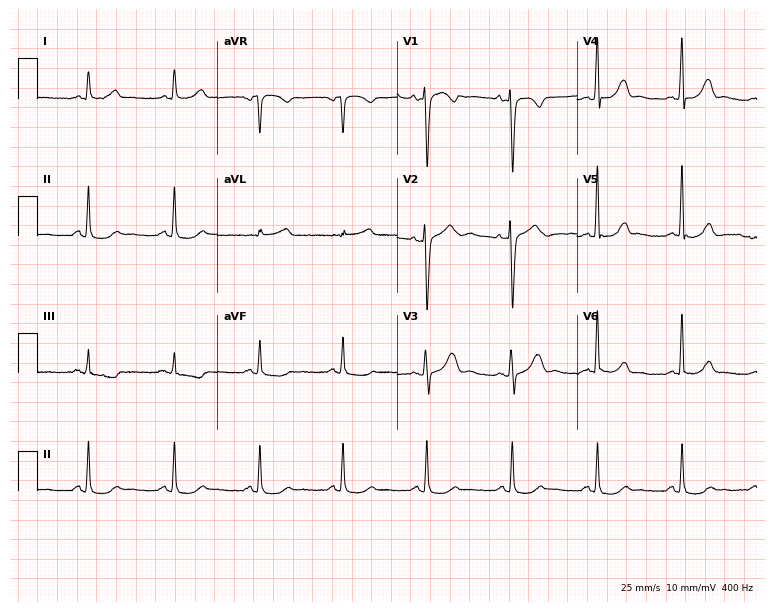
ECG — a 48-year-old female. Labelled as a normal ECG.